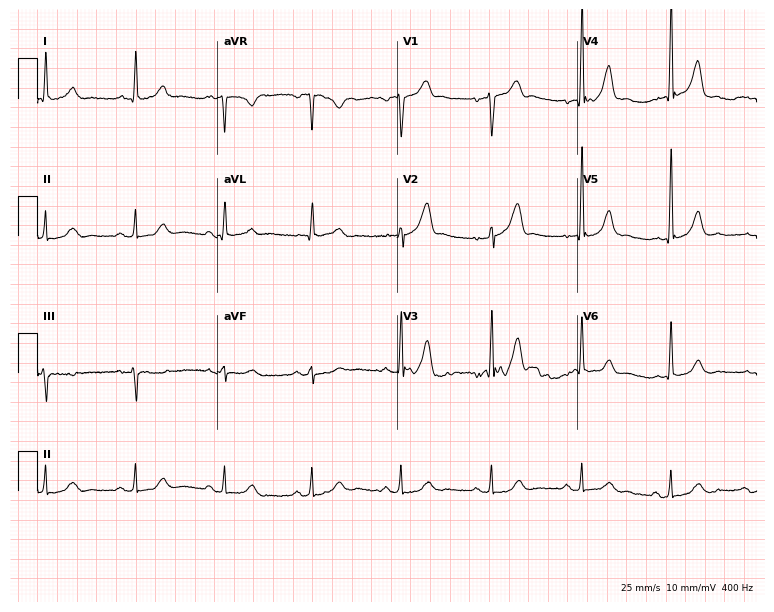
12-lead ECG from a male patient, 66 years old. Recorded interpretation: within normal limits.